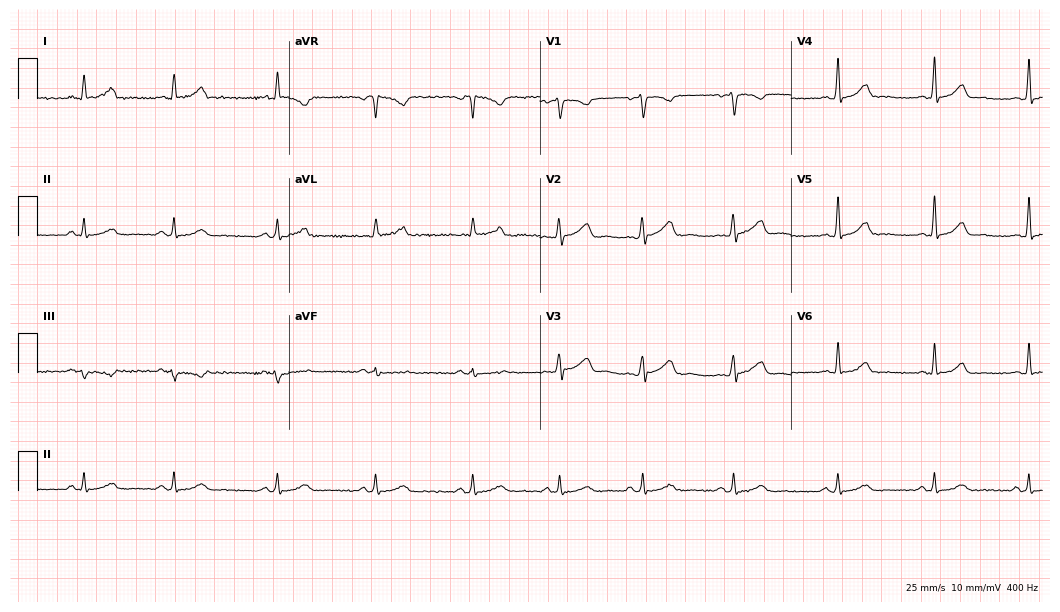
Electrocardiogram, a 27-year-old woman. Overall reading on record: normal ECG.